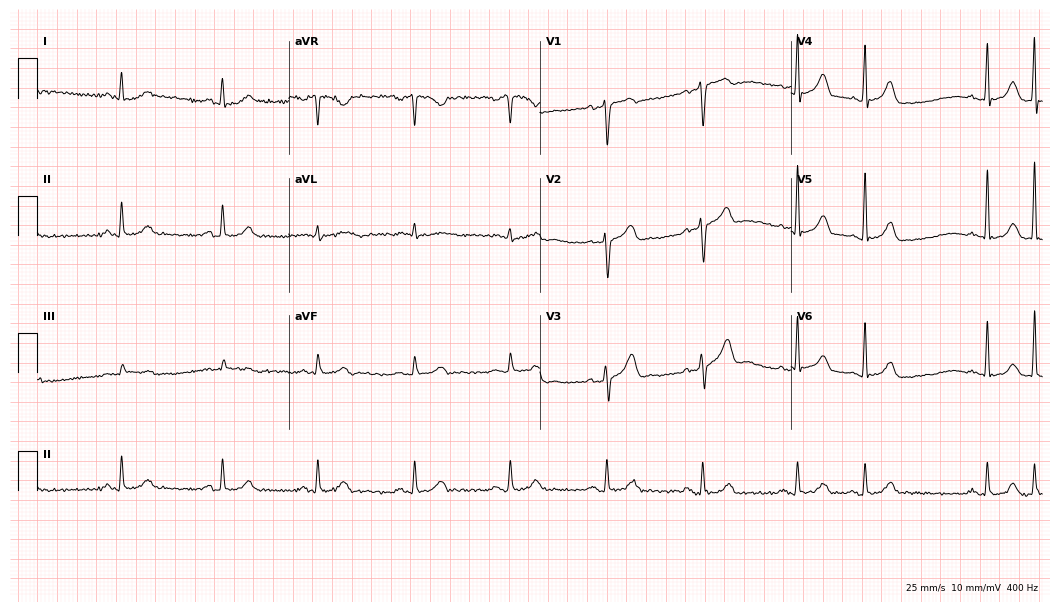
Resting 12-lead electrocardiogram. Patient: a man, 53 years old. None of these six findings is recorded: first-degree AV block, right bundle branch block (RBBB), left bundle branch block (LBBB), sinus bradycardia, atrial fibrillation (AF), sinus tachycardia.